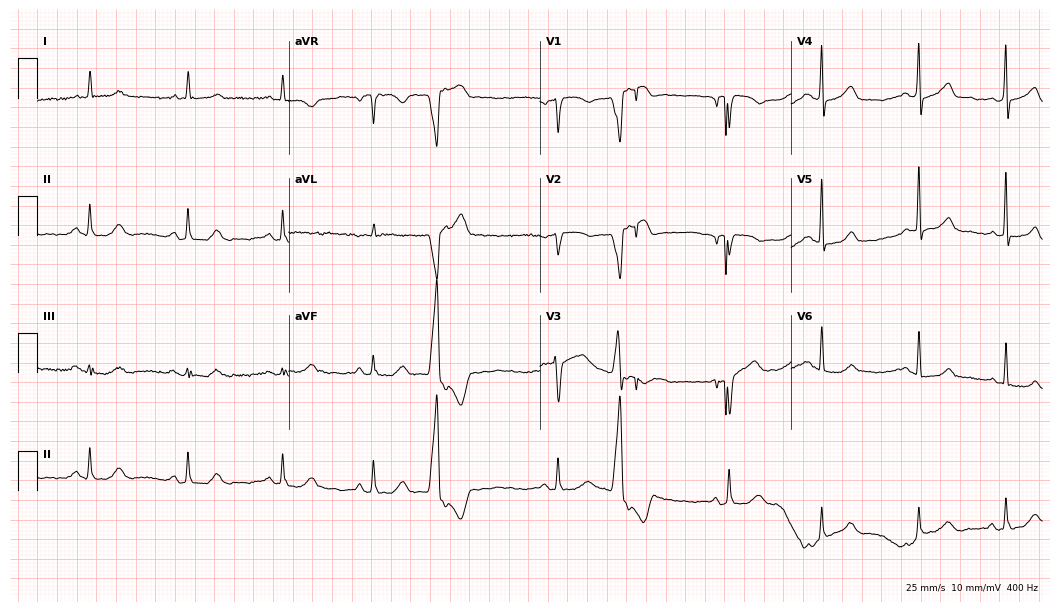
ECG (10.2-second recording at 400 Hz) — a 67-year-old female. Screened for six findings — first-degree AV block, right bundle branch block, left bundle branch block, sinus bradycardia, atrial fibrillation, sinus tachycardia — none is recorded.